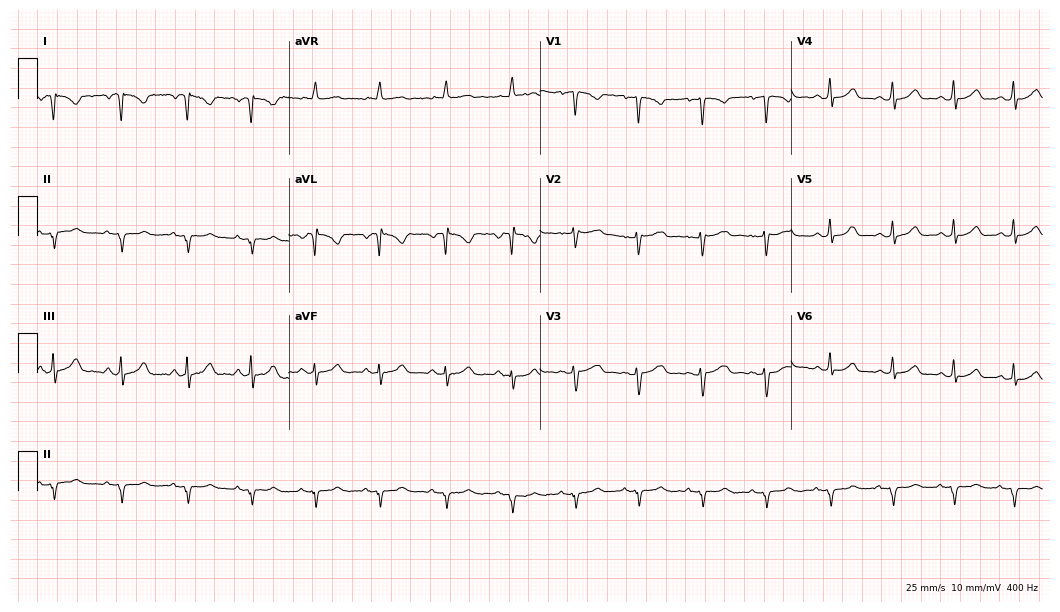
ECG — a female, 32 years old. Screened for six findings — first-degree AV block, right bundle branch block, left bundle branch block, sinus bradycardia, atrial fibrillation, sinus tachycardia — none is recorded.